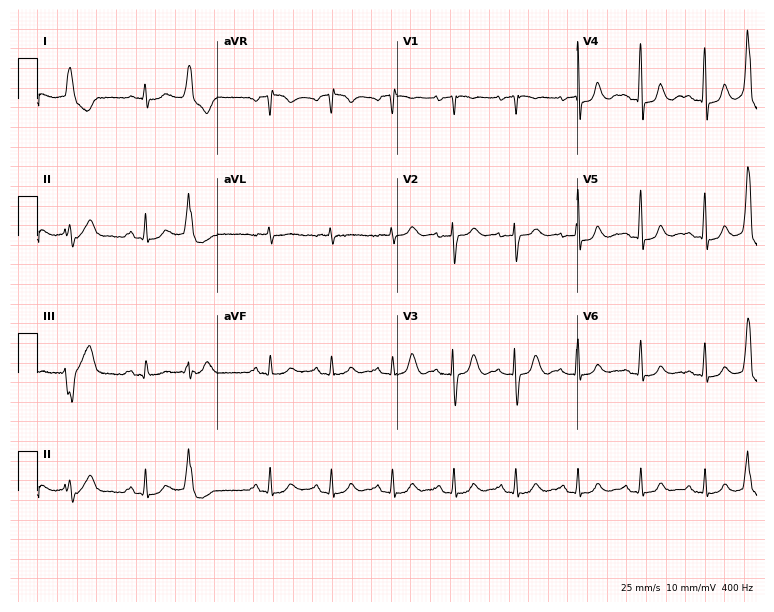
12-lead ECG from a 72-year-old female. No first-degree AV block, right bundle branch block, left bundle branch block, sinus bradycardia, atrial fibrillation or sinus tachycardia recorded for this tracing. Only these six findings were labelled.